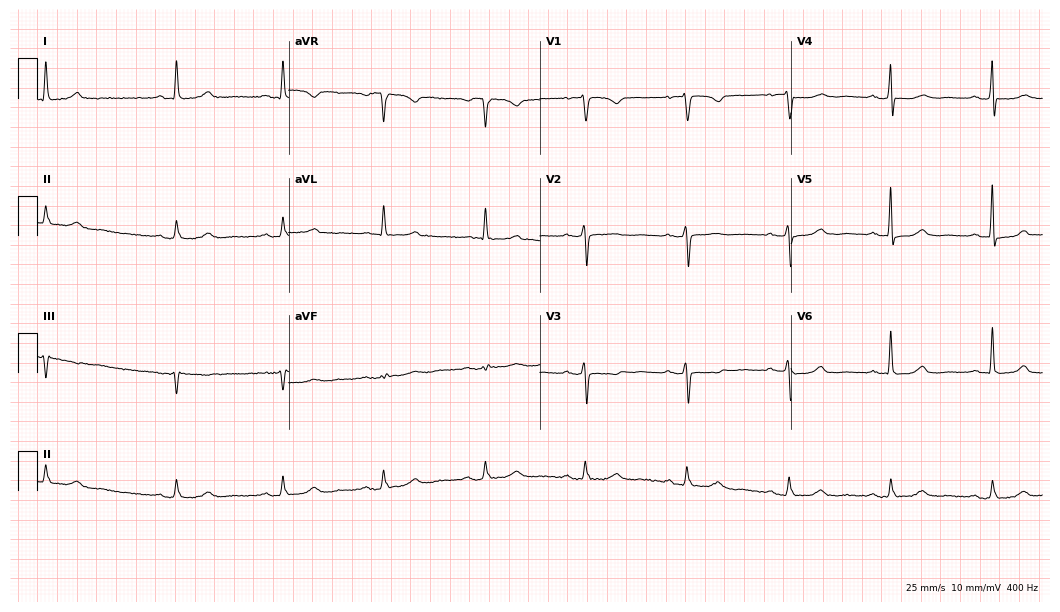
ECG (10.2-second recording at 400 Hz) — a 68-year-old female patient. Screened for six findings — first-degree AV block, right bundle branch block (RBBB), left bundle branch block (LBBB), sinus bradycardia, atrial fibrillation (AF), sinus tachycardia — none is recorded.